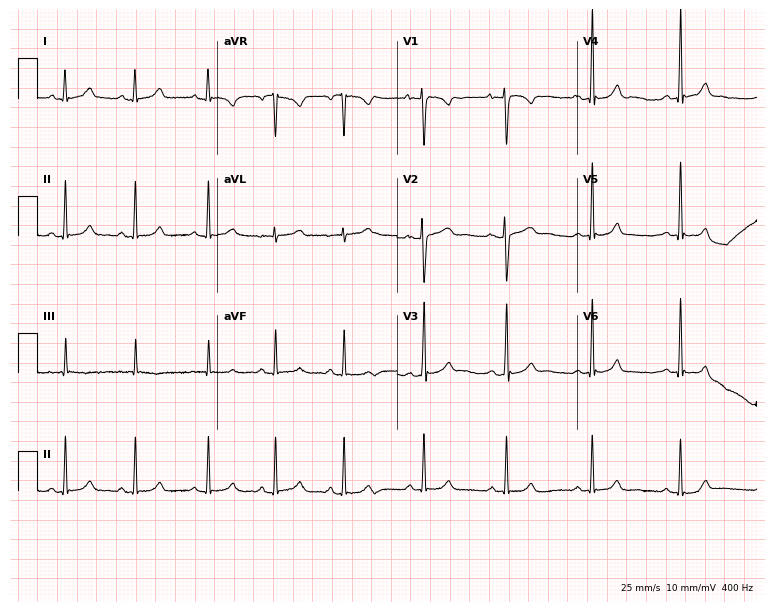
ECG — a 20-year-old woman. Labelled as a normal ECG.